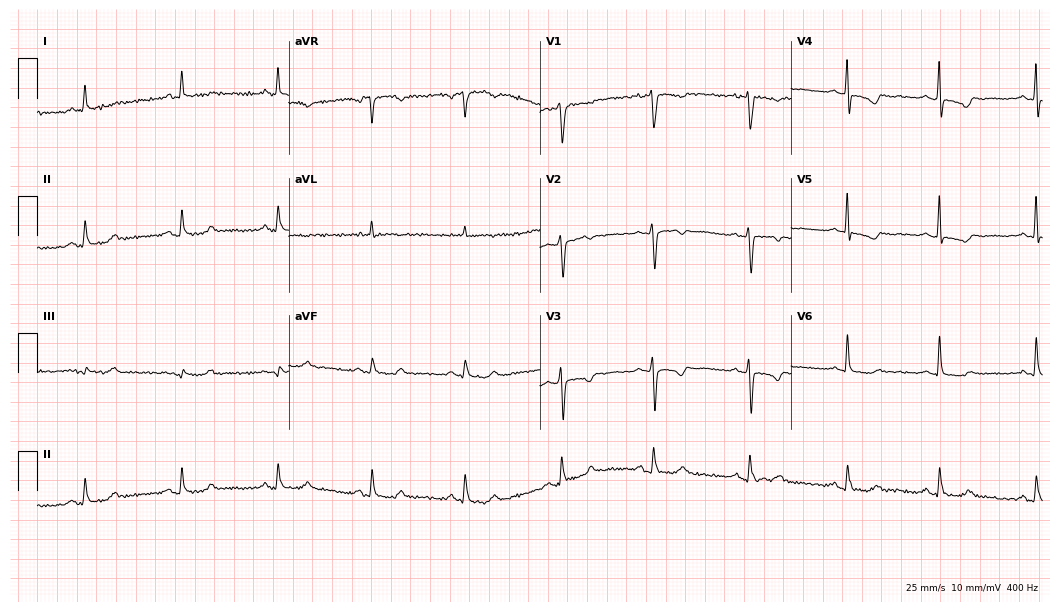
Standard 12-lead ECG recorded from a 60-year-old female patient (10.2-second recording at 400 Hz). None of these six findings is recorded: first-degree AV block, right bundle branch block, left bundle branch block, sinus bradycardia, atrial fibrillation, sinus tachycardia. Findings outside these six are not listed.